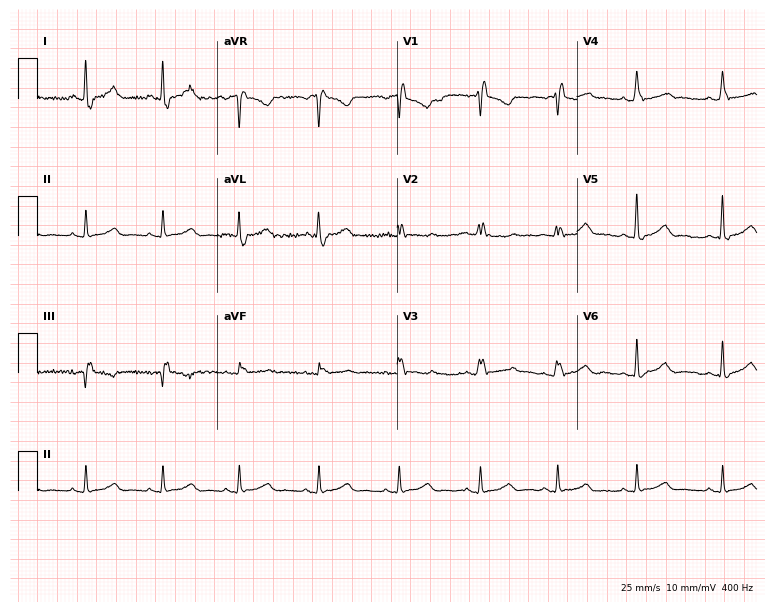
ECG (7.3-second recording at 400 Hz) — a woman, 51 years old. Findings include right bundle branch block.